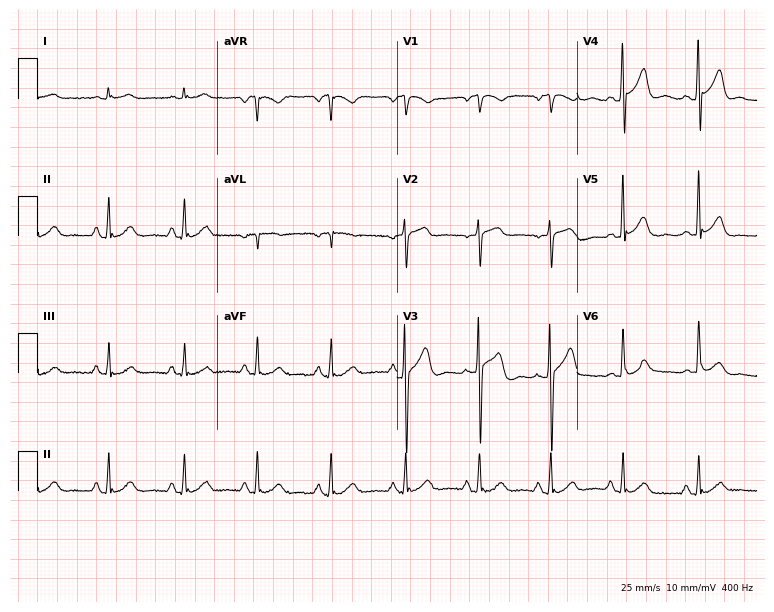
12-lead ECG from a 63-year-old man (7.3-second recording at 400 Hz). Recorded interpretation: within normal limits.